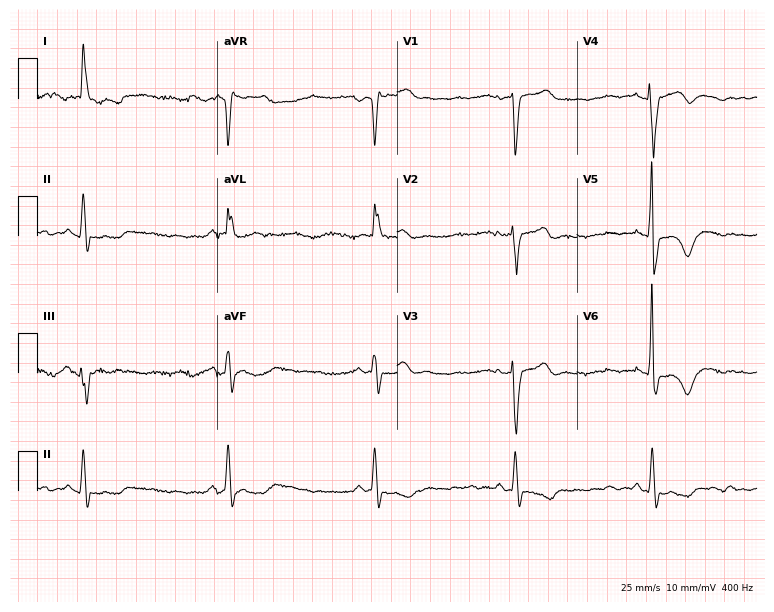
12-lead ECG from a female patient, 67 years old (7.3-second recording at 400 Hz). No first-degree AV block, right bundle branch block, left bundle branch block, sinus bradycardia, atrial fibrillation or sinus tachycardia recorded for this tracing. Other findings, if any, are not listed.